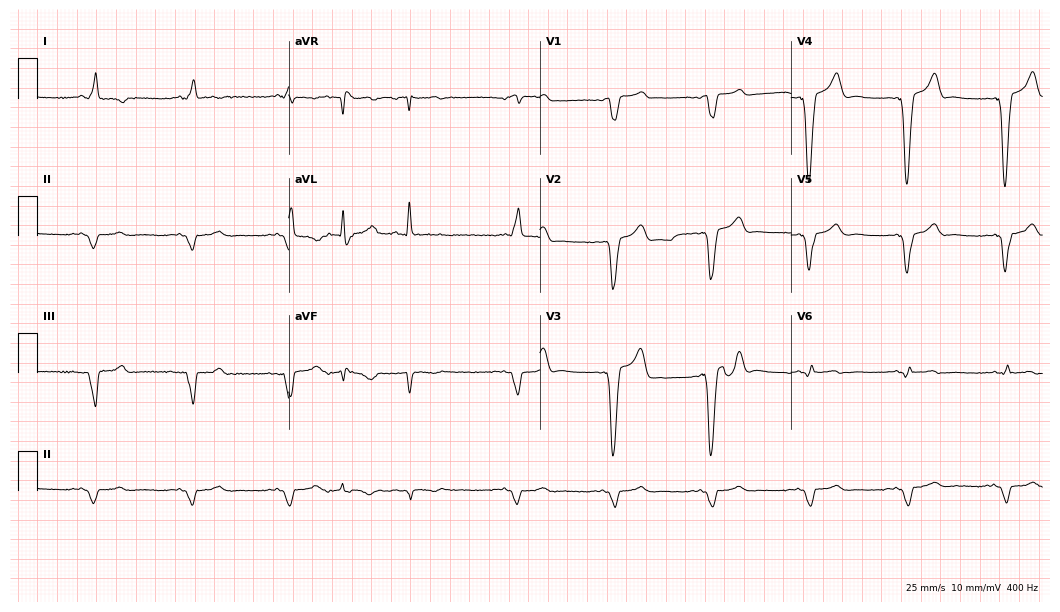
12-lead ECG from a 76-year-old male patient. No first-degree AV block, right bundle branch block, left bundle branch block, sinus bradycardia, atrial fibrillation or sinus tachycardia recorded for this tracing.